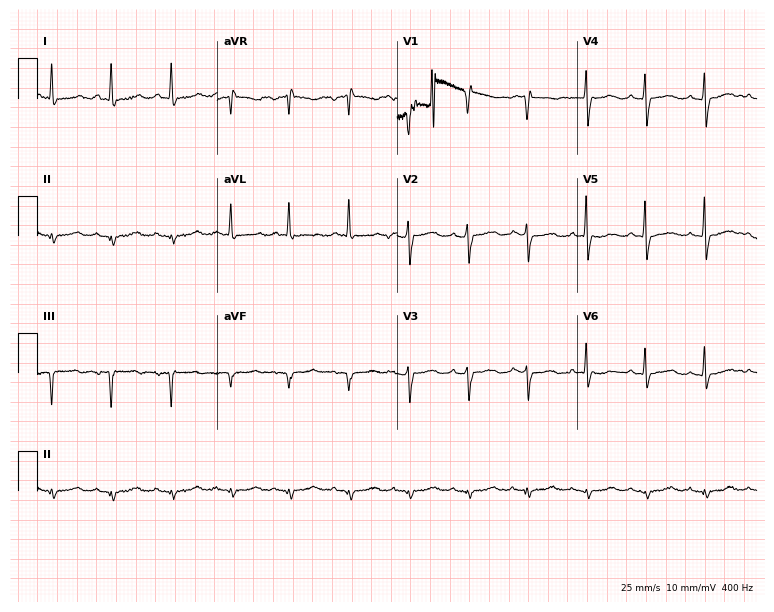
Resting 12-lead electrocardiogram. Patient: a 76-year-old woman. None of these six findings is recorded: first-degree AV block, right bundle branch block (RBBB), left bundle branch block (LBBB), sinus bradycardia, atrial fibrillation (AF), sinus tachycardia.